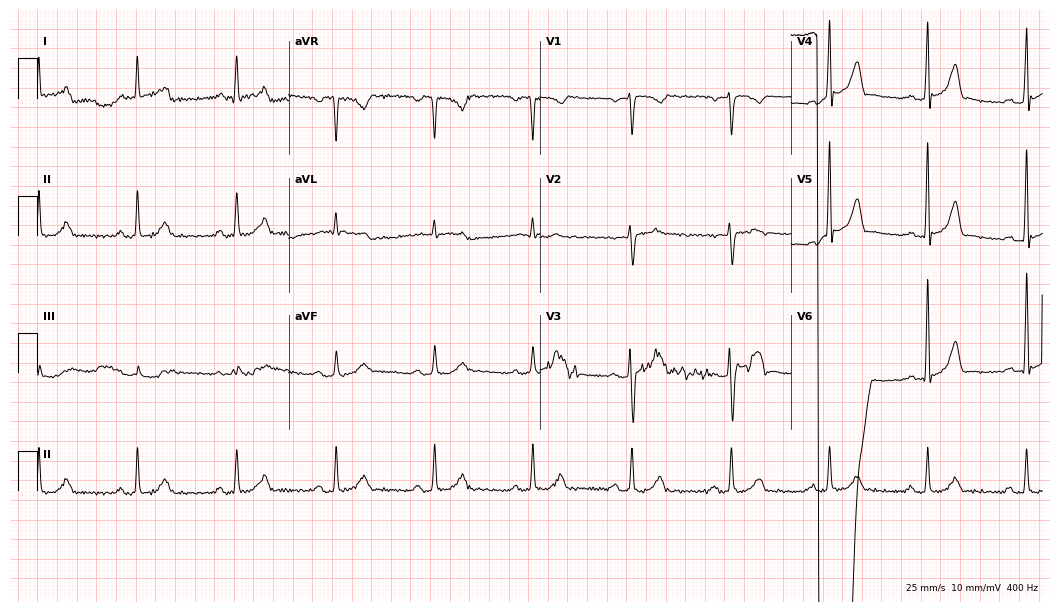
ECG (10.2-second recording at 400 Hz) — a male patient, 63 years old. Screened for six findings — first-degree AV block, right bundle branch block, left bundle branch block, sinus bradycardia, atrial fibrillation, sinus tachycardia — none is recorded.